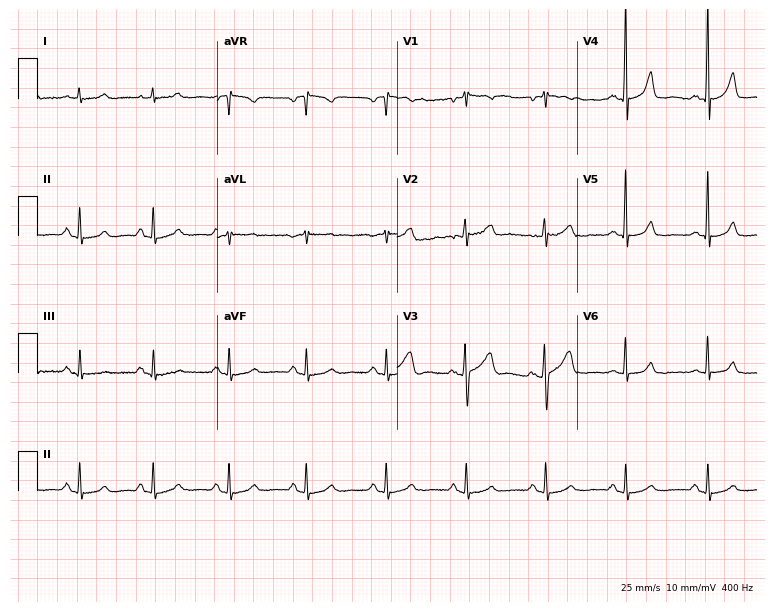
12-lead ECG (7.3-second recording at 400 Hz) from a female patient, 48 years old. Screened for six findings — first-degree AV block, right bundle branch block, left bundle branch block, sinus bradycardia, atrial fibrillation, sinus tachycardia — none is recorded. Findings outside these six are not listed.